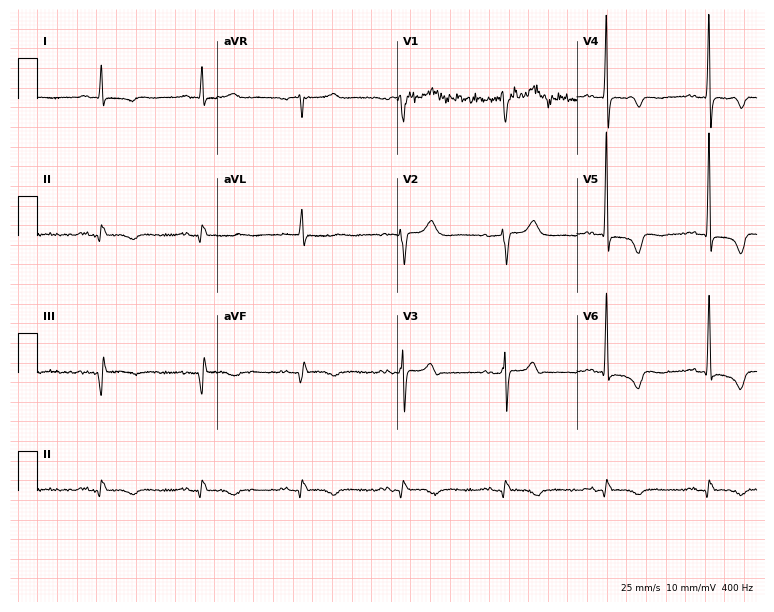
12-lead ECG from a 63-year-old man. No first-degree AV block, right bundle branch block, left bundle branch block, sinus bradycardia, atrial fibrillation or sinus tachycardia recorded for this tracing.